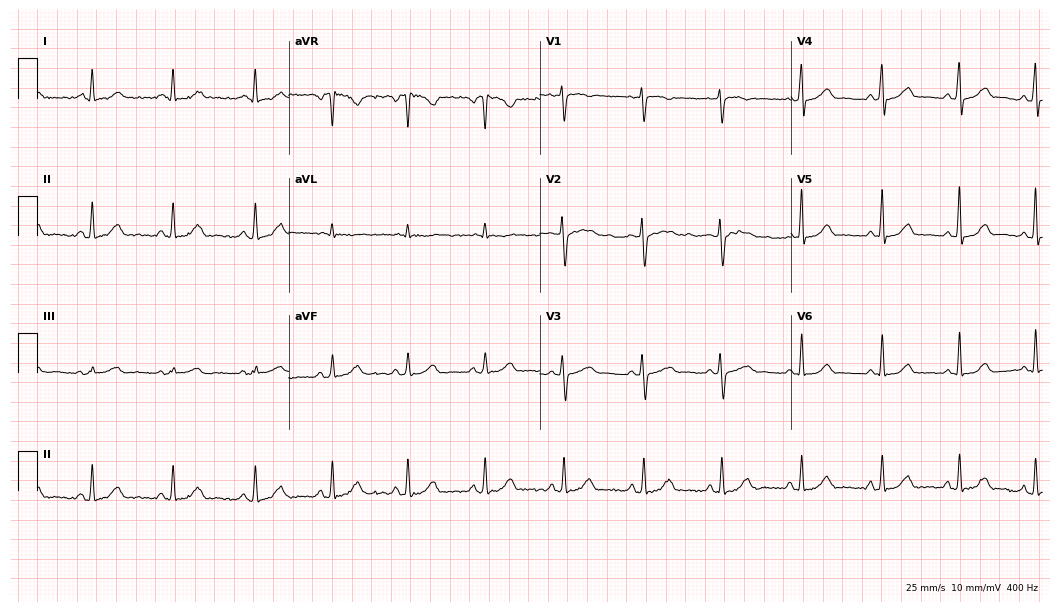
Resting 12-lead electrocardiogram (10.2-second recording at 400 Hz). Patient: a woman, 54 years old. None of these six findings is recorded: first-degree AV block, right bundle branch block, left bundle branch block, sinus bradycardia, atrial fibrillation, sinus tachycardia.